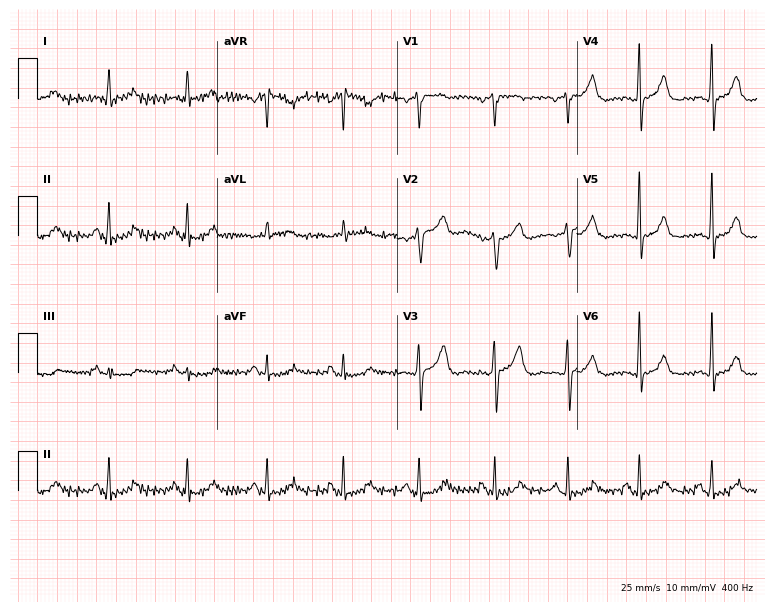
Resting 12-lead electrocardiogram. Patient: a female, 69 years old. None of these six findings is recorded: first-degree AV block, right bundle branch block, left bundle branch block, sinus bradycardia, atrial fibrillation, sinus tachycardia. Findings outside these six are not listed.